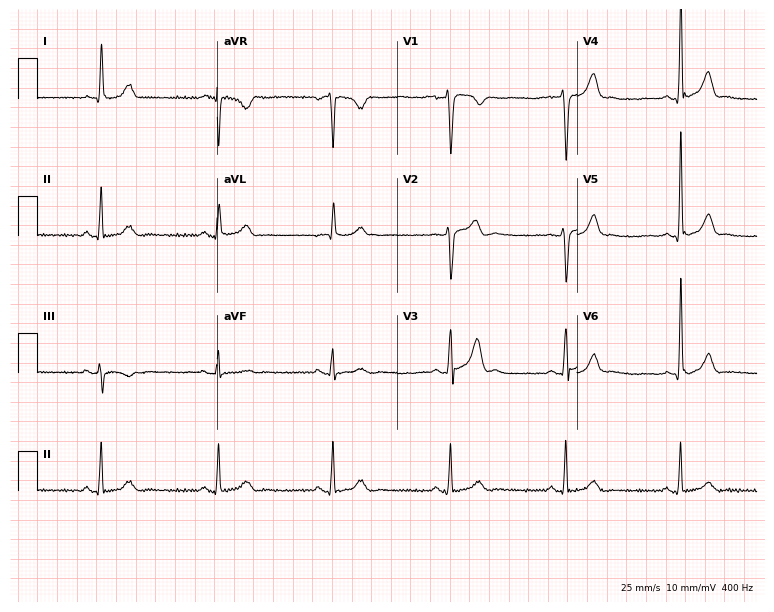
Standard 12-lead ECG recorded from a 34-year-old male. The tracing shows sinus bradycardia (a sinus rate of 50 beats per minute or less).